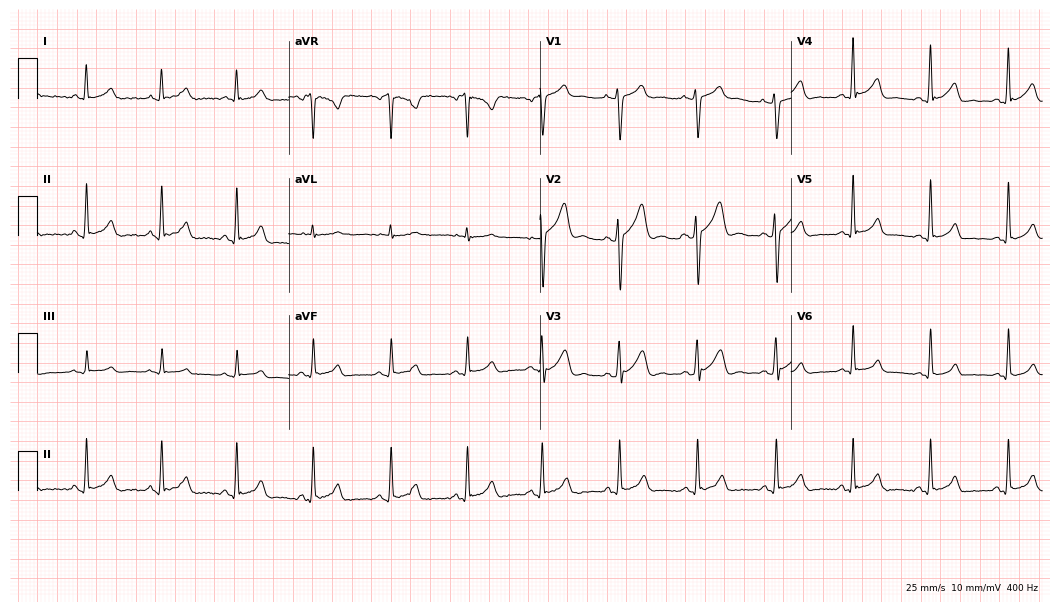
Resting 12-lead electrocardiogram (10.2-second recording at 400 Hz). Patient: a 24-year-old man. Read as a normal ECG.